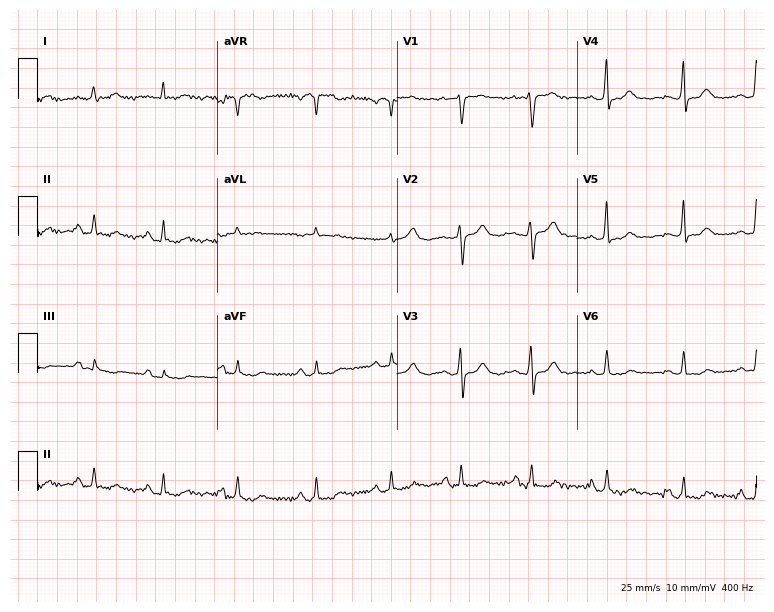
Electrocardiogram, a female, 63 years old. Of the six screened findings (first-degree AV block, right bundle branch block, left bundle branch block, sinus bradycardia, atrial fibrillation, sinus tachycardia), none is recorded.